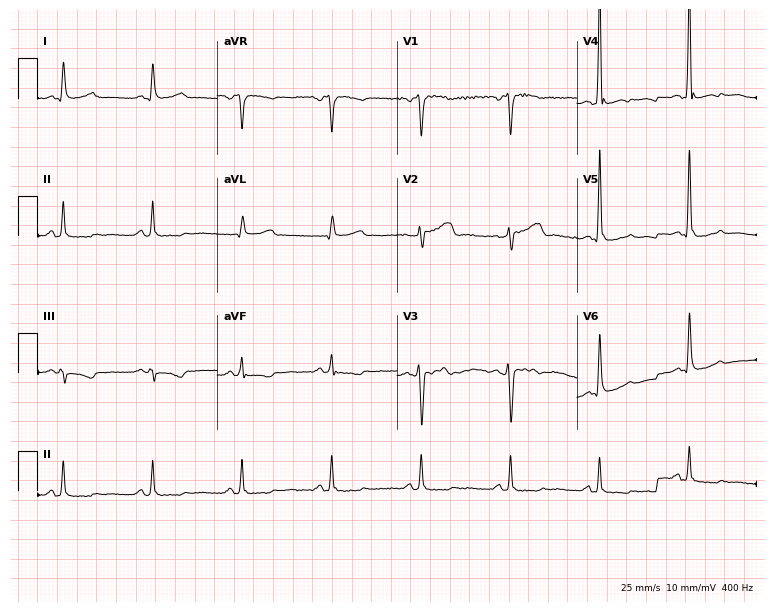
12-lead ECG from a 45-year-old male patient. No first-degree AV block, right bundle branch block, left bundle branch block, sinus bradycardia, atrial fibrillation or sinus tachycardia recorded for this tracing. Other findings, if any, are not listed.